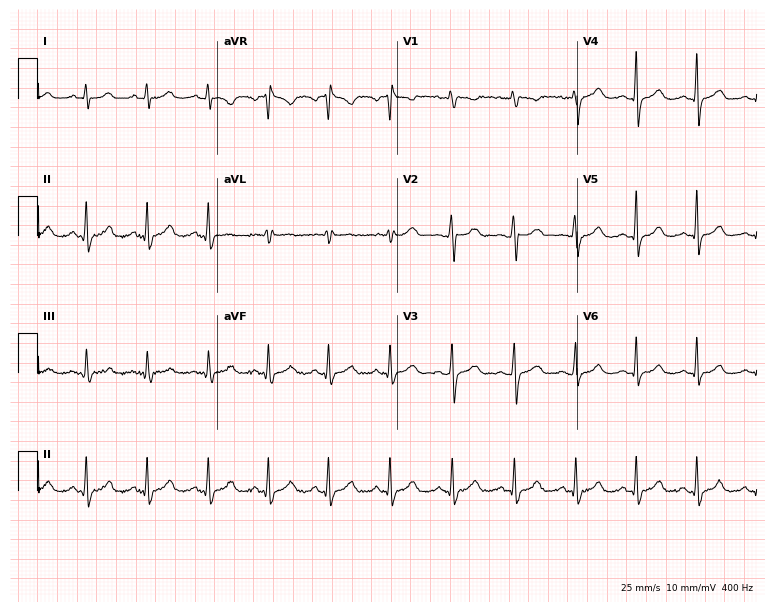
ECG — a 35-year-old woman. Labelled as a normal ECG.